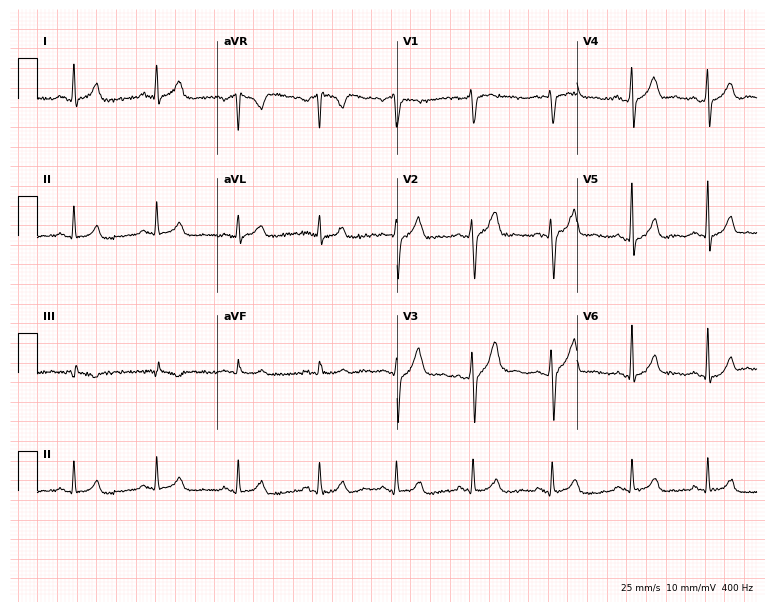
Electrocardiogram (7.3-second recording at 400 Hz), a 31-year-old male patient. Overall reading on record: normal ECG.